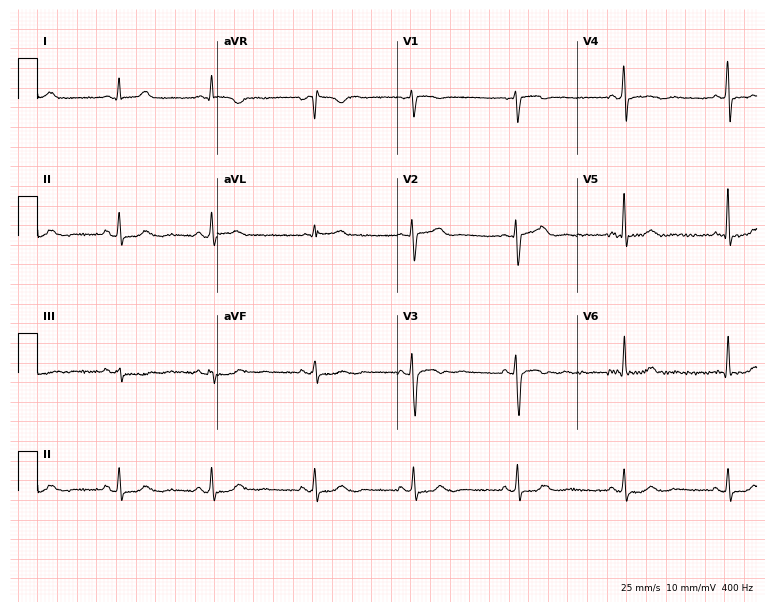
ECG — a 54-year-old female patient. Labelled as a normal ECG.